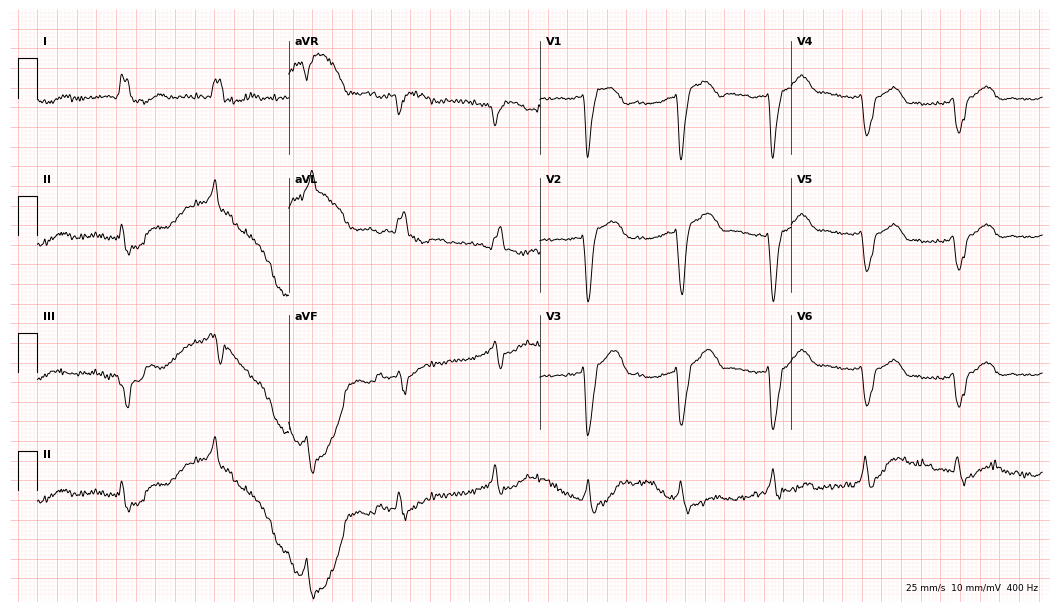
Standard 12-lead ECG recorded from a female patient, 83 years old (10.2-second recording at 400 Hz). None of these six findings is recorded: first-degree AV block, right bundle branch block, left bundle branch block, sinus bradycardia, atrial fibrillation, sinus tachycardia.